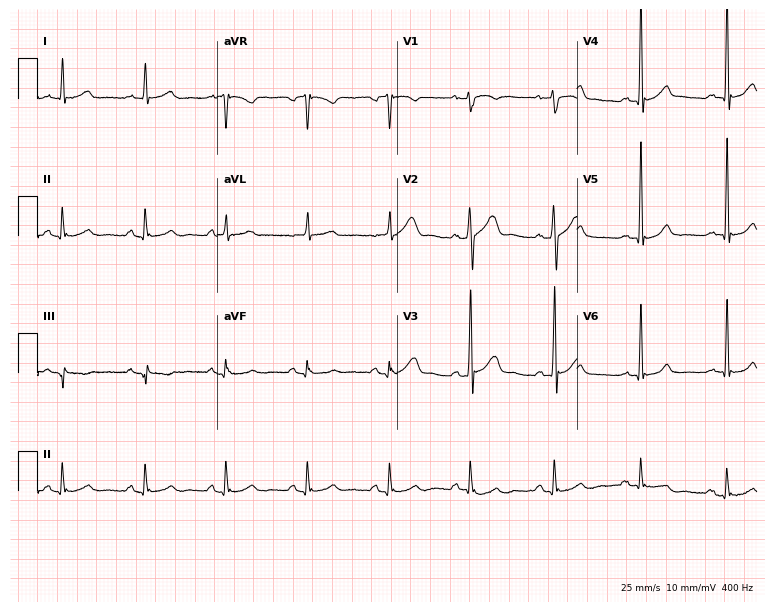
Resting 12-lead electrocardiogram (7.3-second recording at 400 Hz). Patient: a man, 49 years old. Read as a normal ECG.